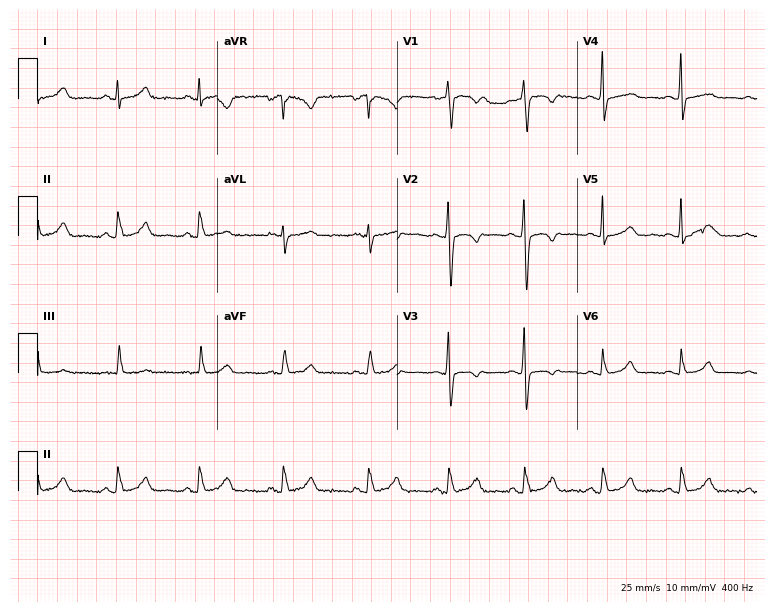
Standard 12-lead ECG recorded from a 30-year-old female (7.3-second recording at 400 Hz). None of these six findings is recorded: first-degree AV block, right bundle branch block (RBBB), left bundle branch block (LBBB), sinus bradycardia, atrial fibrillation (AF), sinus tachycardia. Findings outside these six are not listed.